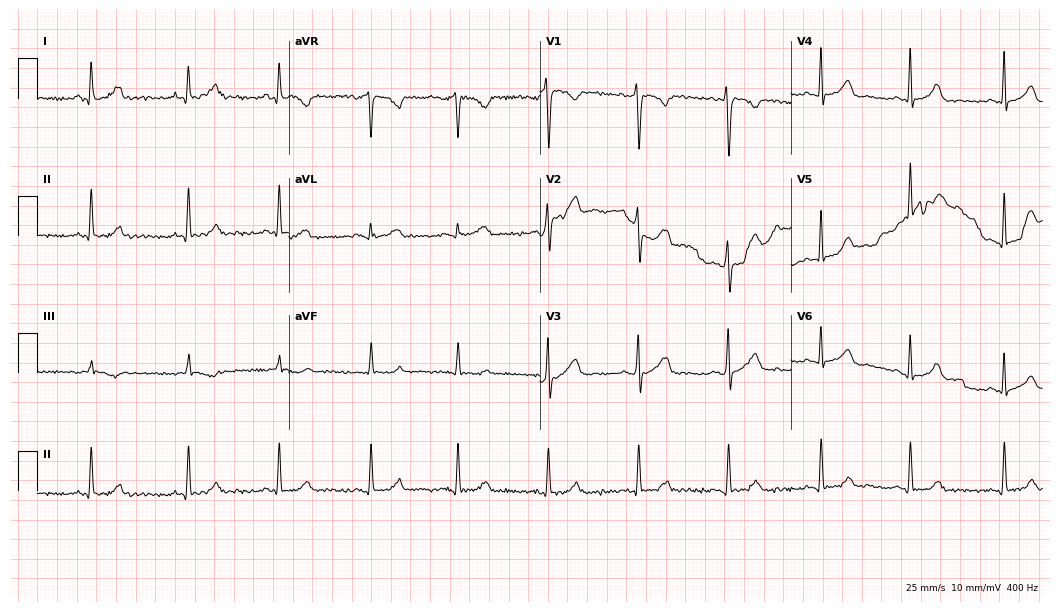
12-lead ECG (10.2-second recording at 400 Hz) from a female, 29 years old. Screened for six findings — first-degree AV block, right bundle branch block, left bundle branch block, sinus bradycardia, atrial fibrillation, sinus tachycardia — none is recorded.